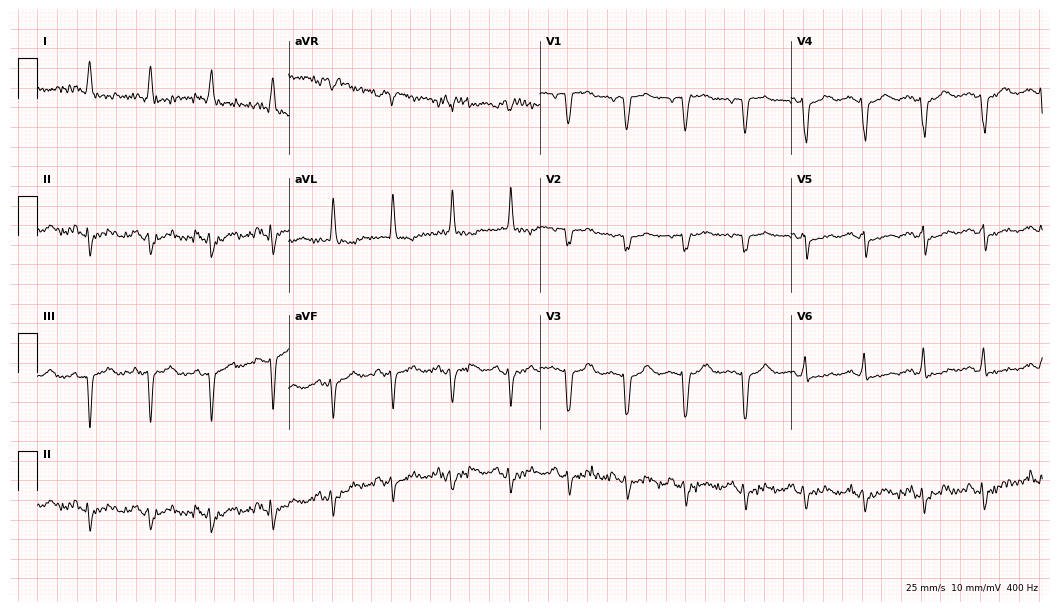
Electrocardiogram, a woman, 71 years old. Of the six screened findings (first-degree AV block, right bundle branch block, left bundle branch block, sinus bradycardia, atrial fibrillation, sinus tachycardia), none is recorded. Findings outside these six are not listed.